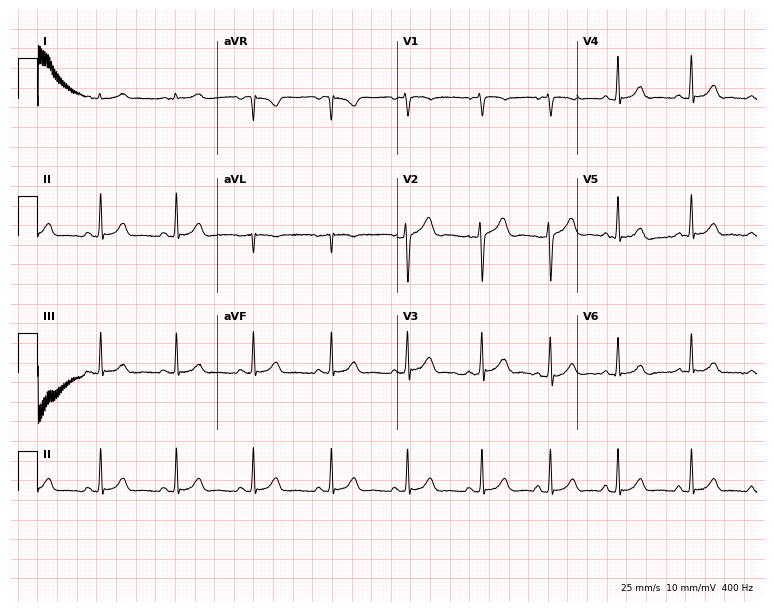
Resting 12-lead electrocardiogram. Patient: a female, 34 years old. None of these six findings is recorded: first-degree AV block, right bundle branch block, left bundle branch block, sinus bradycardia, atrial fibrillation, sinus tachycardia.